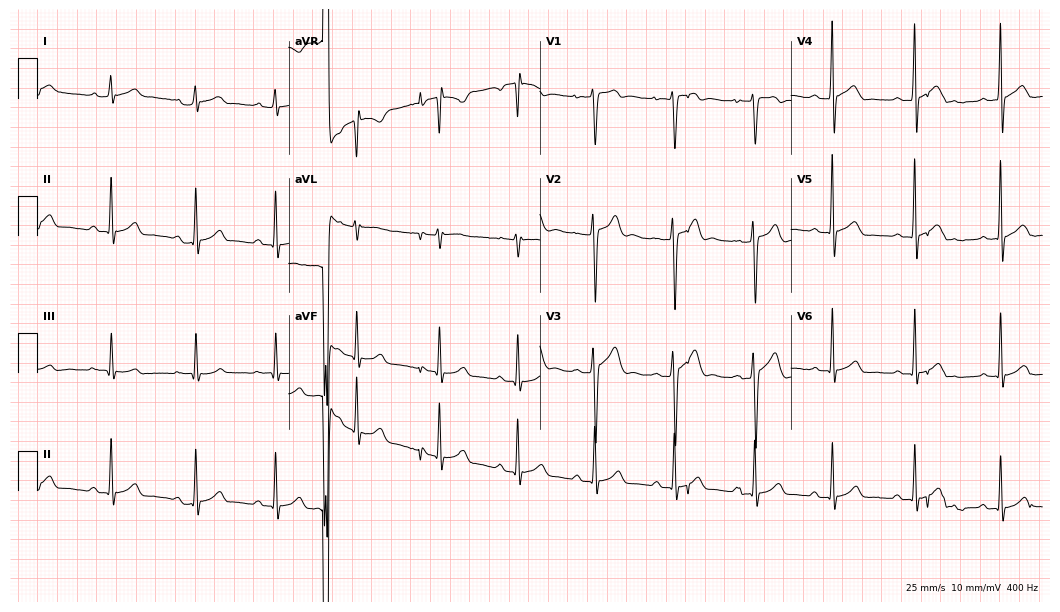
12-lead ECG from a 20-year-old male. Screened for six findings — first-degree AV block, right bundle branch block, left bundle branch block, sinus bradycardia, atrial fibrillation, sinus tachycardia — none is recorded.